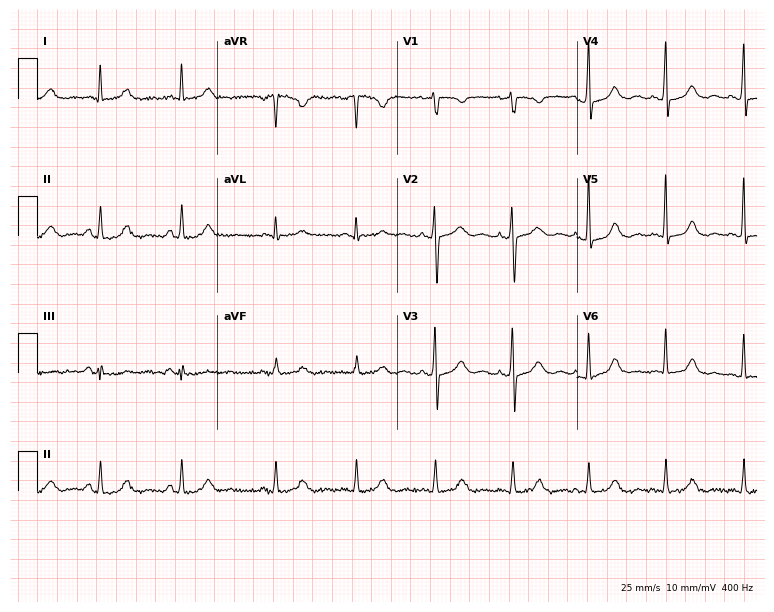
ECG (7.3-second recording at 400 Hz) — a 47-year-old woman. Labelled as a normal ECG.